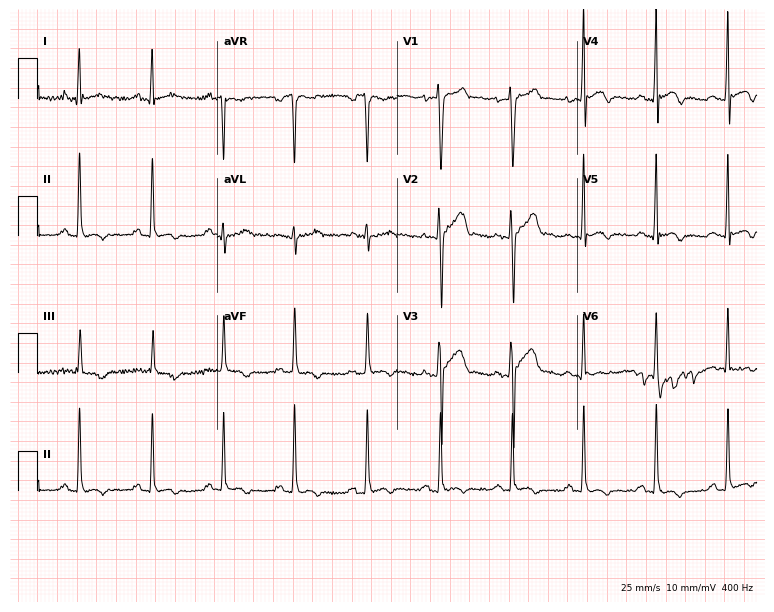
Resting 12-lead electrocardiogram. Patient: a 17-year-old male. None of these six findings is recorded: first-degree AV block, right bundle branch block (RBBB), left bundle branch block (LBBB), sinus bradycardia, atrial fibrillation (AF), sinus tachycardia. Only these six findings were labelled.